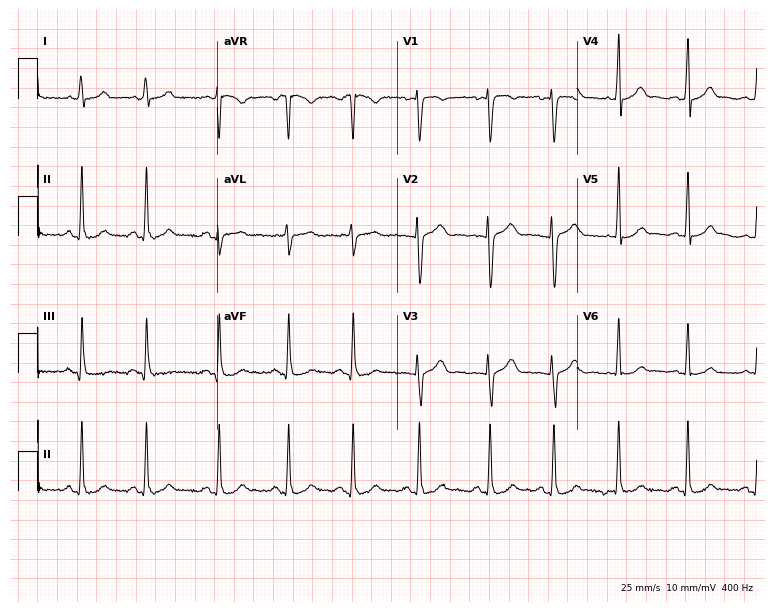
12-lead ECG from a female patient, 22 years old. Labelled as a normal ECG.